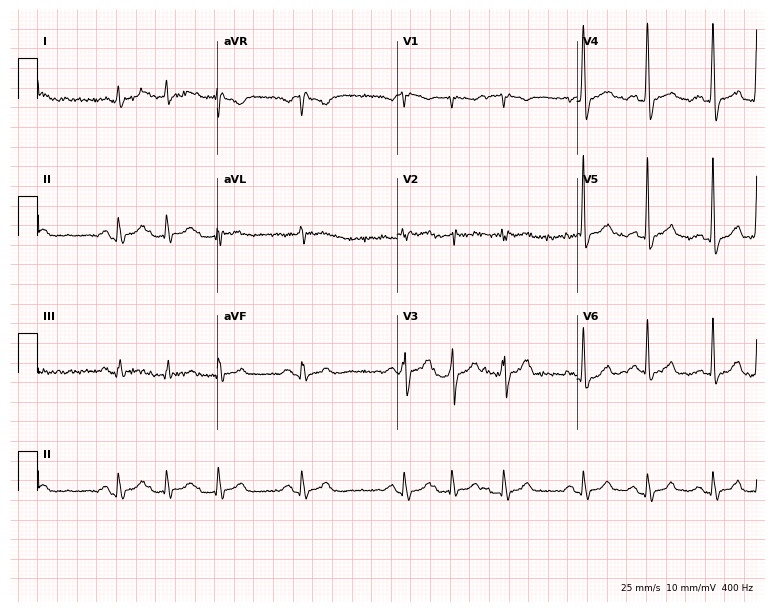
12-lead ECG from a male, 83 years old. Screened for six findings — first-degree AV block, right bundle branch block, left bundle branch block, sinus bradycardia, atrial fibrillation, sinus tachycardia — none is recorded. Findings outside these six are not listed.